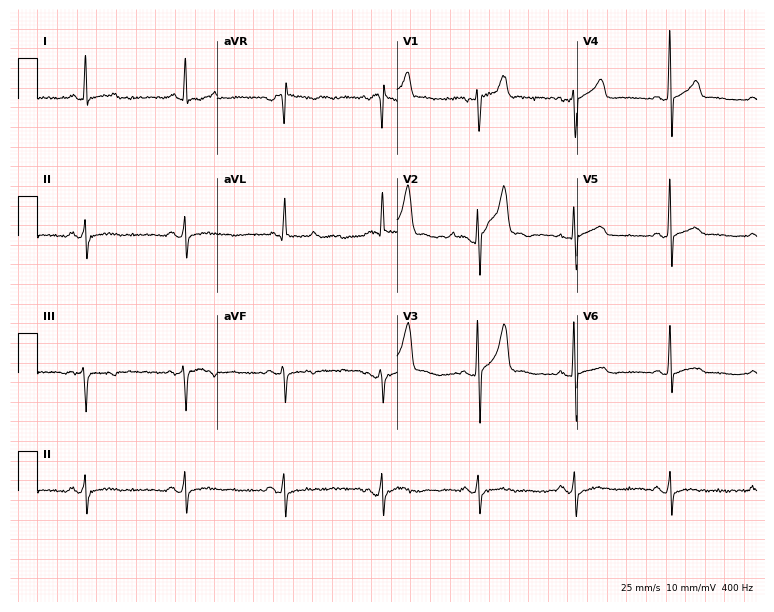
12-lead ECG from a male, 57 years old. No first-degree AV block, right bundle branch block (RBBB), left bundle branch block (LBBB), sinus bradycardia, atrial fibrillation (AF) or sinus tachycardia recorded for this tracing. Other findings, if any, are not listed.